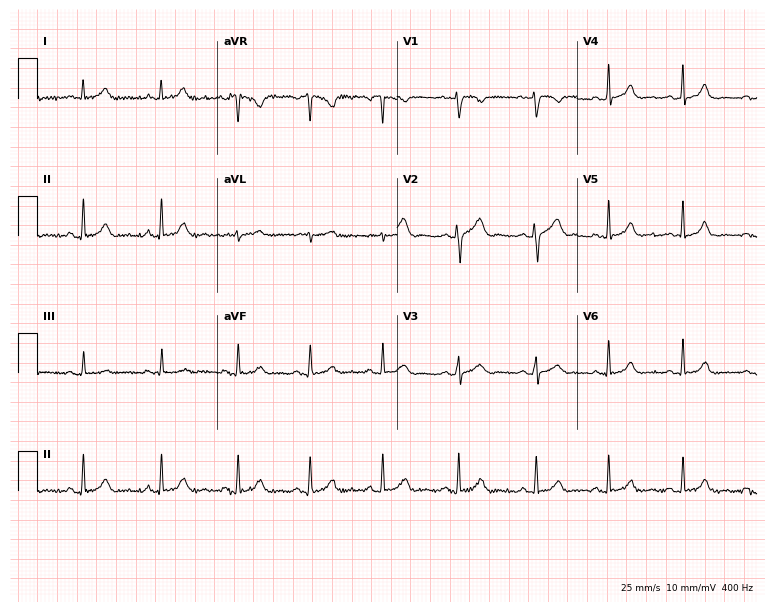
ECG (7.3-second recording at 400 Hz) — a female, 70 years old. Labelled as a normal ECG.